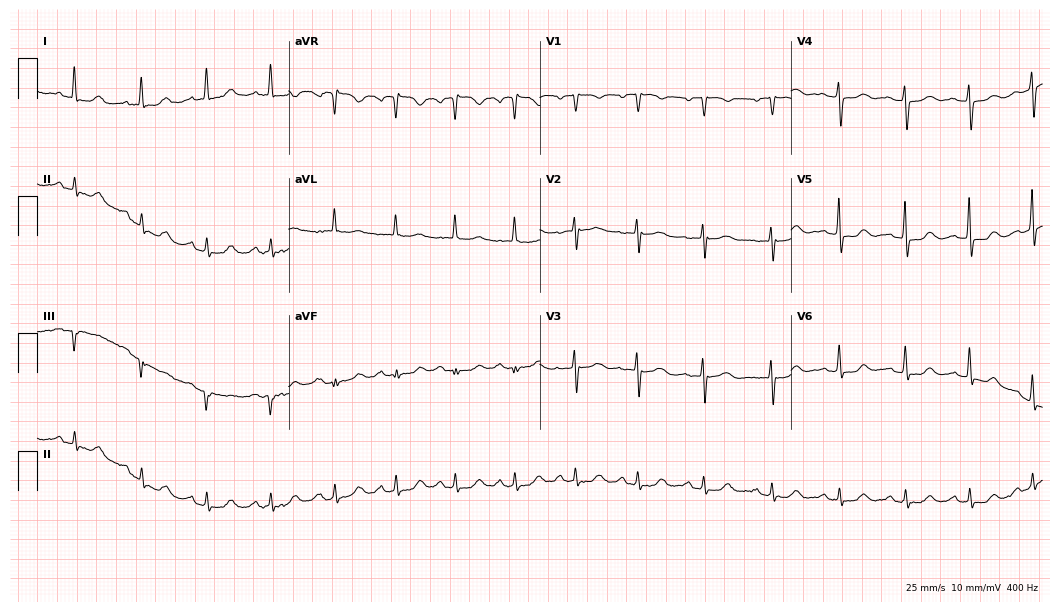
Standard 12-lead ECG recorded from a 75-year-old woman (10.2-second recording at 400 Hz). Read as a normal ECG.